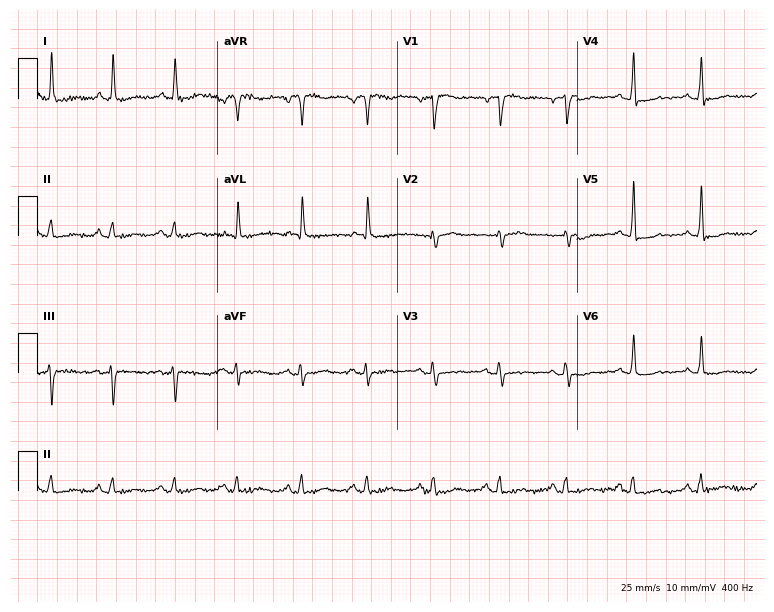
12-lead ECG from a 69-year-old female (7.3-second recording at 400 Hz). No first-degree AV block, right bundle branch block (RBBB), left bundle branch block (LBBB), sinus bradycardia, atrial fibrillation (AF) or sinus tachycardia recorded for this tracing.